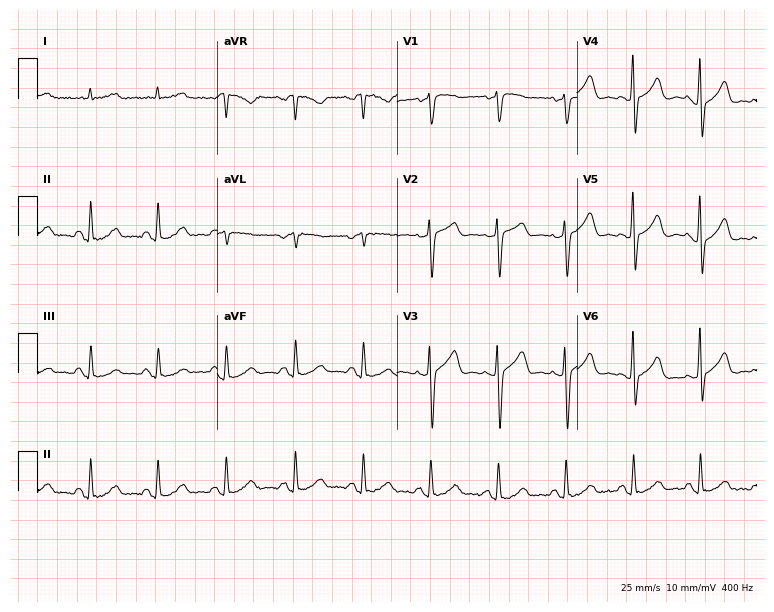
12-lead ECG from a male, 76 years old. No first-degree AV block, right bundle branch block, left bundle branch block, sinus bradycardia, atrial fibrillation or sinus tachycardia recorded for this tracing. Only these six findings were labelled.